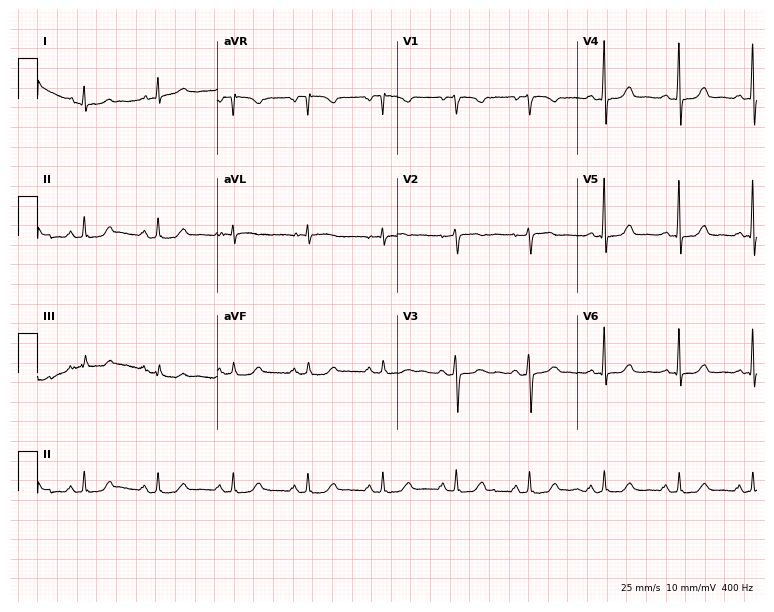
Standard 12-lead ECG recorded from a 45-year-old female (7.3-second recording at 400 Hz). Read as a normal ECG.